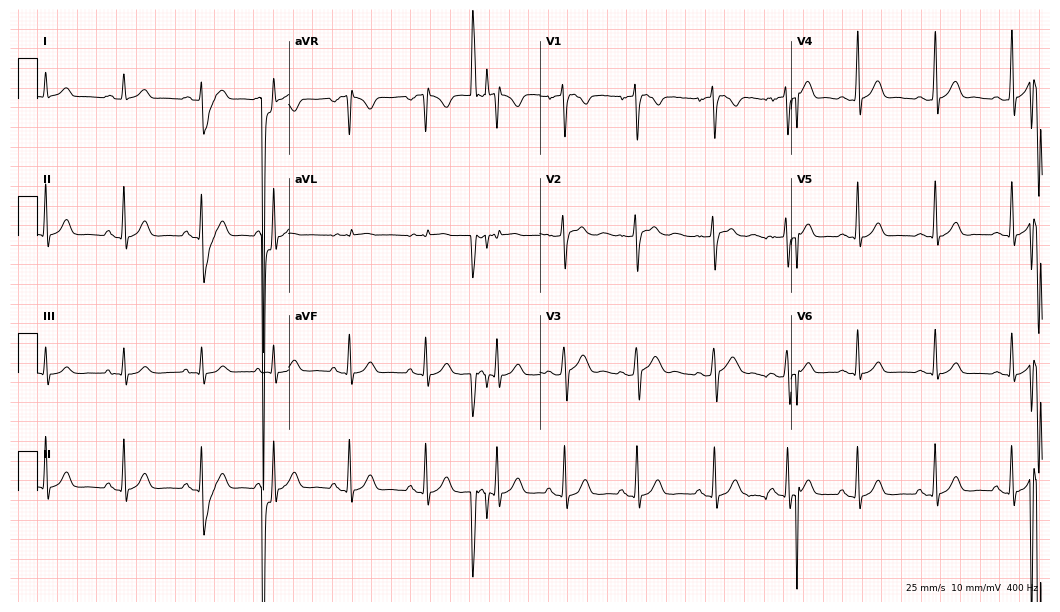
ECG — a 17-year-old male patient. Screened for six findings — first-degree AV block, right bundle branch block (RBBB), left bundle branch block (LBBB), sinus bradycardia, atrial fibrillation (AF), sinus tachycardia — none is recorded. Findings outside these six are not listed.